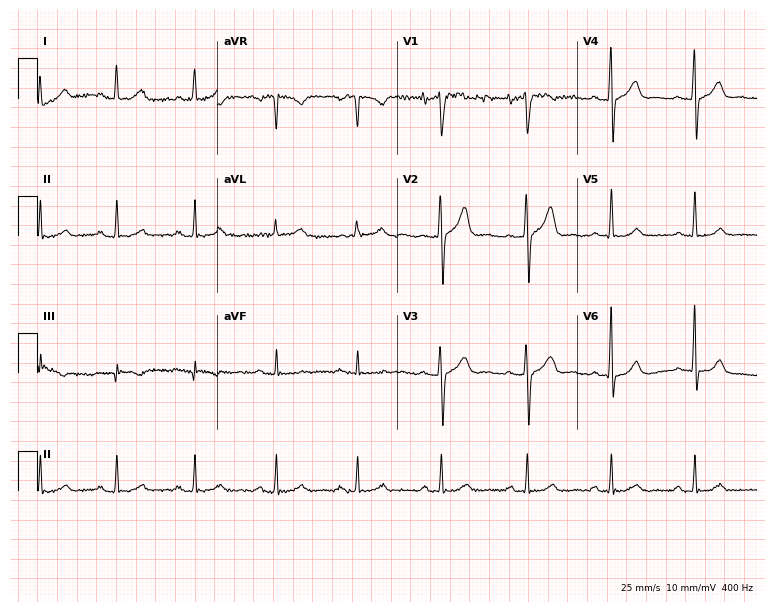
ECG (7.3-second recording at 400 Hz) — a man, 57 years old. Labelled as a normal ECG.